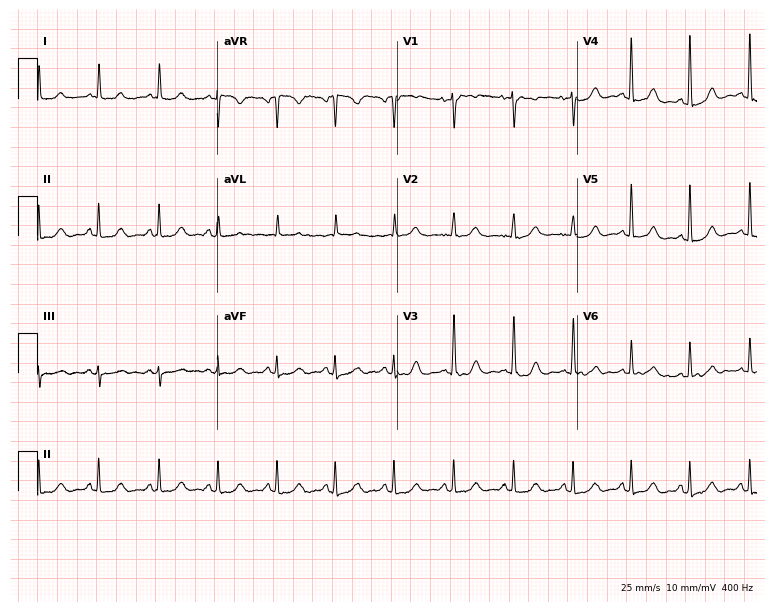
Resting 12-lead electrocardiogram (7.3-second recording at 400 Hz). Patient: a 79-year-old female. Read as a normal ECG.